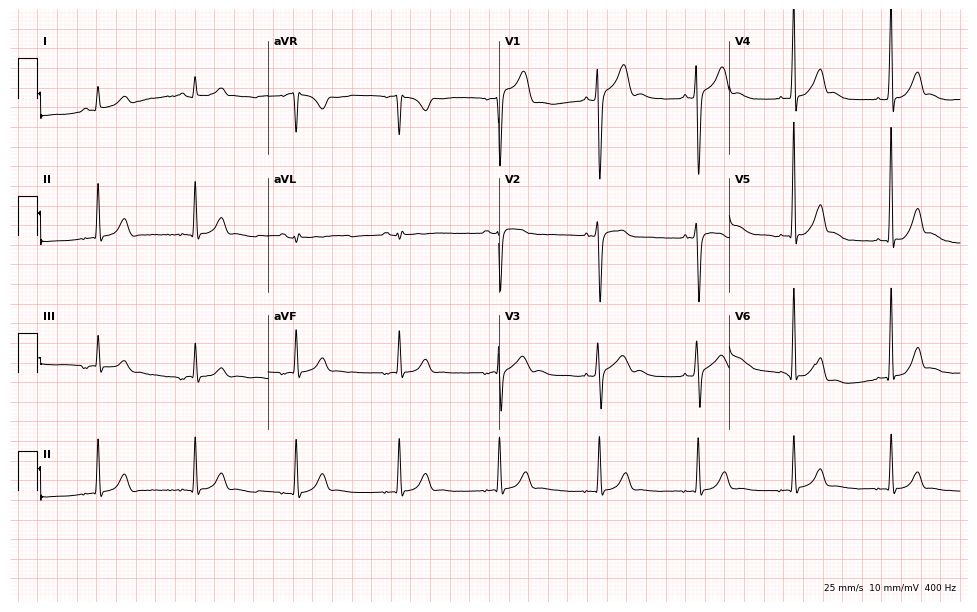
12-lead ECG from a 17-year-old male. Recorded interpretation: within normal limits.